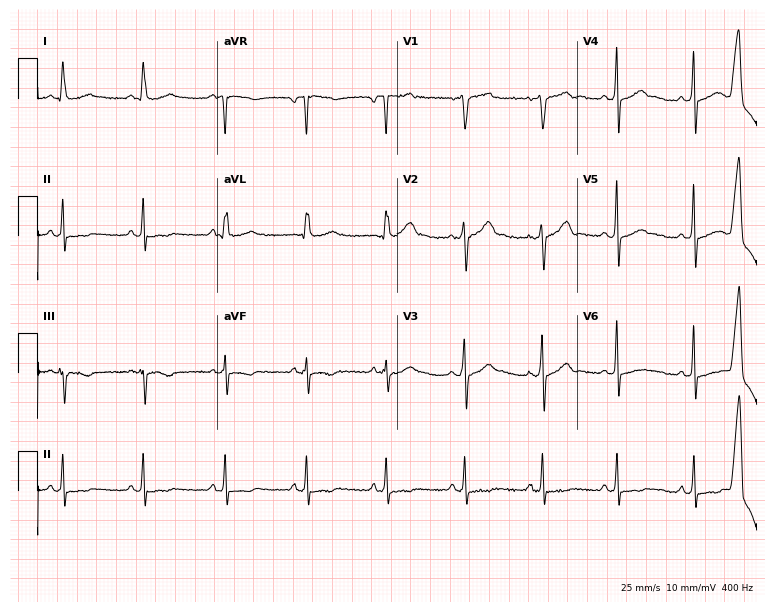
Electrocardiogram (7.3-second recording at 400 Hz), a 39-year-old man. Of the six screened findings (first-degree AV block, right bundle branch block, left bundle branch block, sinus bradycardia, atrial fibrillation, sinus tachycardia), none is recorded.